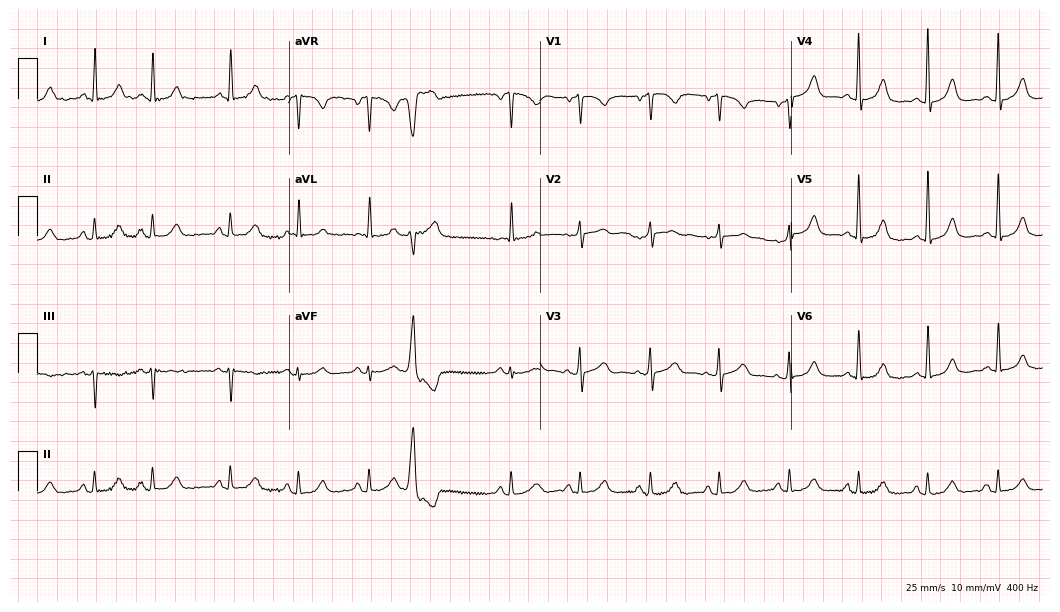
Standard 12-lead ECG recorded from a 27-year-old female patient. Read as a normal ECG.